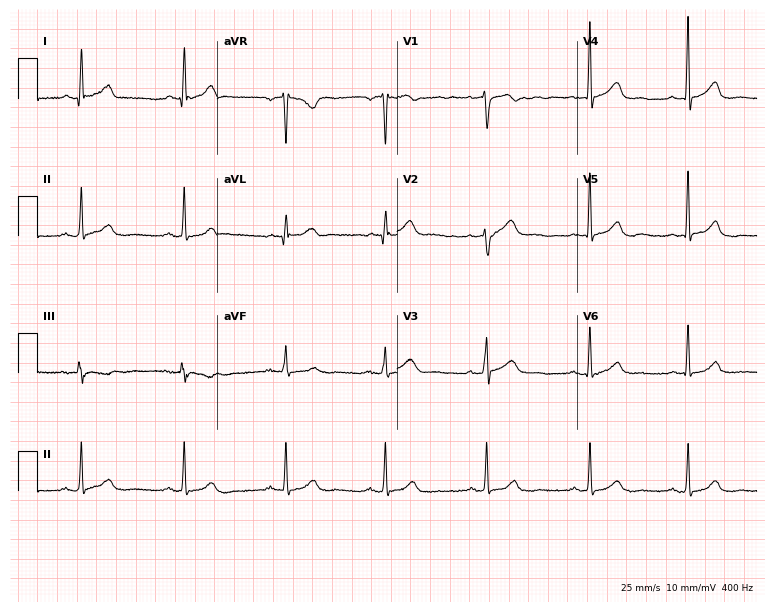
12-lead ECG from a 46-year-old male. No first-degree AV block, right bundle branch block, left bundle branch block, sinus bradycardia, atrial fibrillation or sinus tachycardia recorded for this tracing.